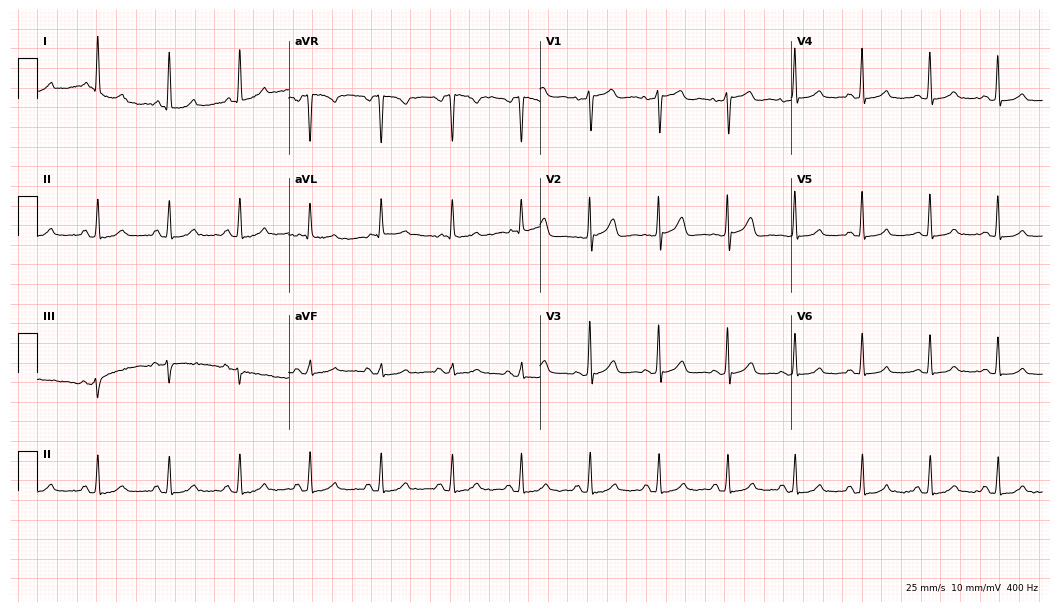
Standard 12-lead ECG recorded from a 64-year-old female patient. Read as a normal ECG.